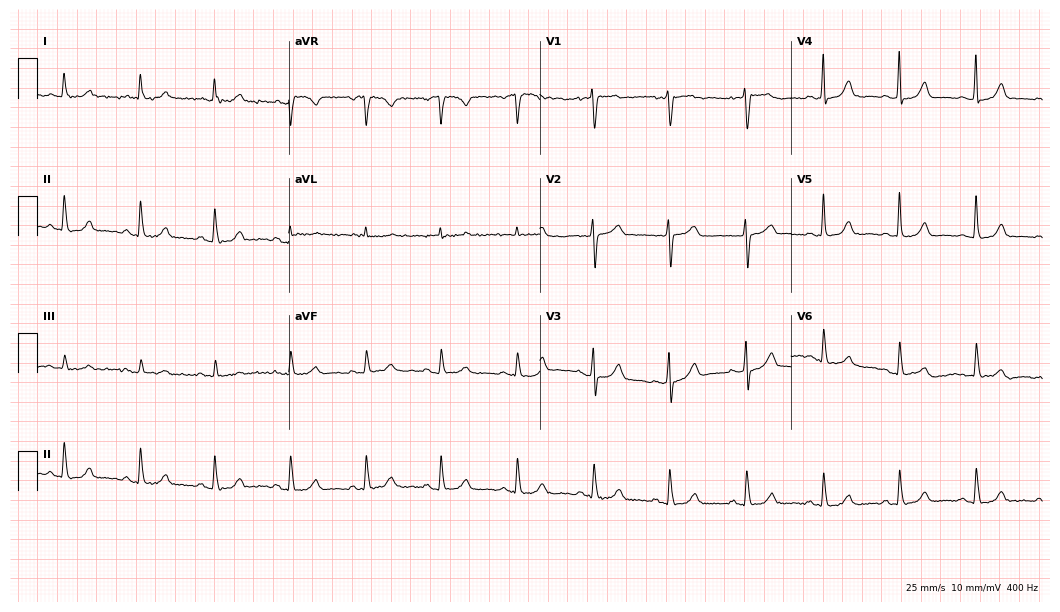
12-lead ECG (10.2-second recording at 400 Hz) from a woman, 64 years old. Labelled as a normal ECG.